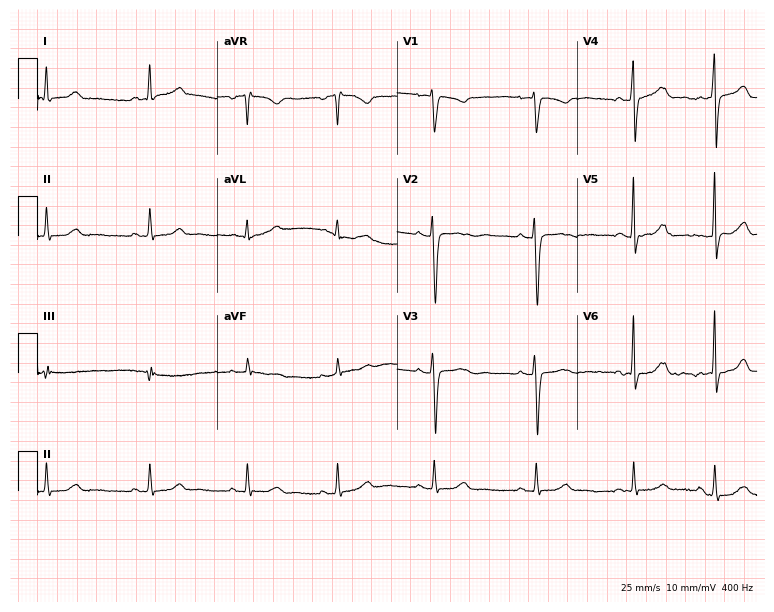
Resting 12-lead electrocardiogram (7.3-second recording at 400 Hz). Patient: a woman, 37 years old. None of these six findings is recorded: first-degree AV block, right bundle branch block, left bundle branch block, sinus bradycardia, atrial fibrillation, sinus tachycardia. Findings outside these six are not listed.